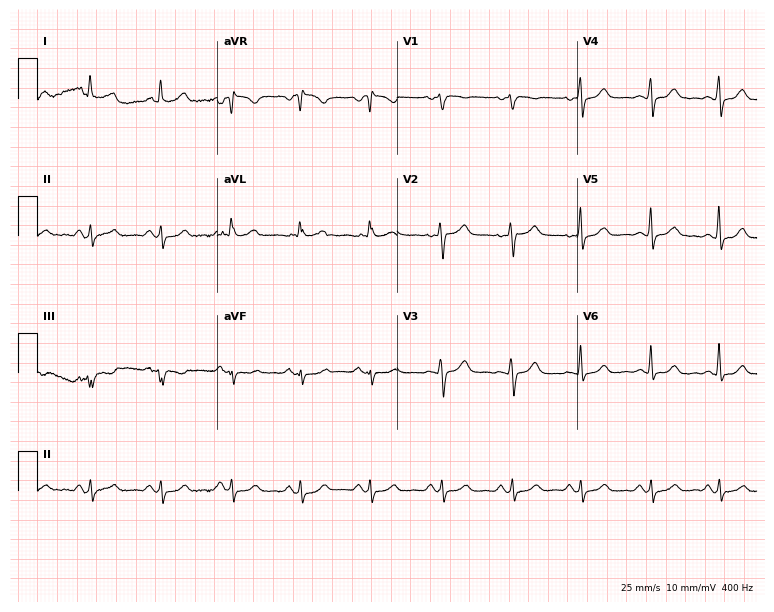
Resting 12-lead electrocardiogram. Patient: a 44-year-old female. None of these six findings is recorded: first-degree AV block, right bundle branch block, left bundle branch block, sinus bradycardia, atrial fibrillation, sinus tachycardia. Findings outside these six are not listed.